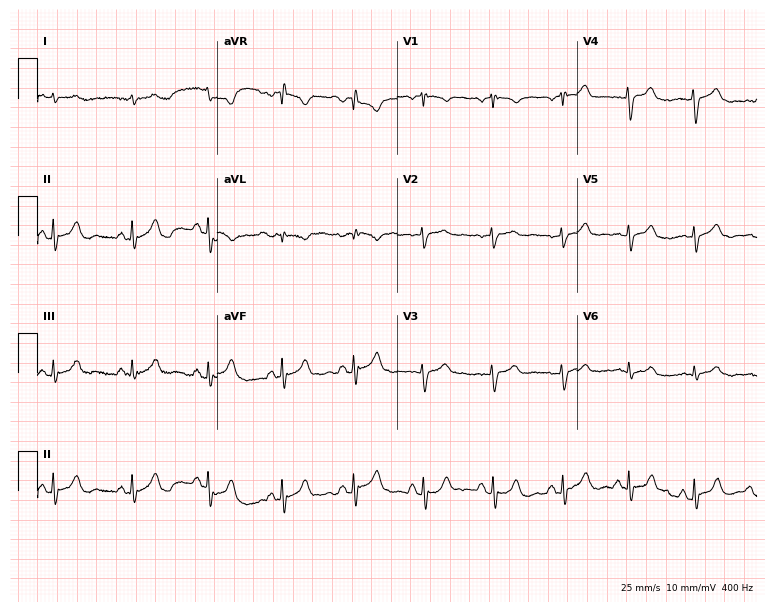
Electrocardiogram, a 54-year-old man. Of the six screened findings (first-degree AV block, right bundle branch block, left bundle branch block, sinus bradycardia, atrial fibrillation, sinus tachycardia), none is recorded. Other findings, if any, are not listed.